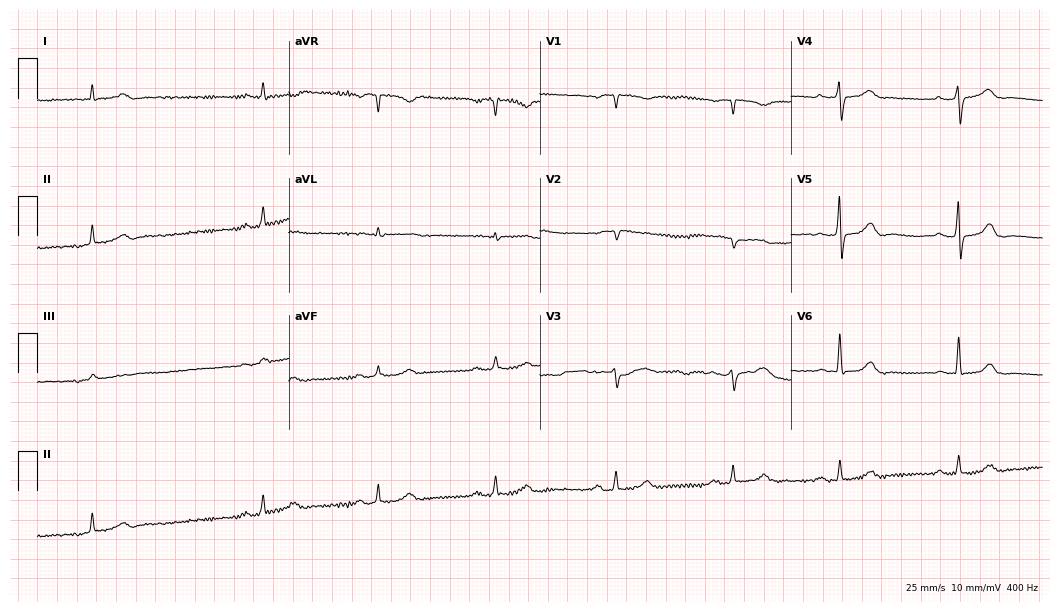
ECG — a 72-year-old female patient. Findings include sinus bradycardia (a sinus rate of 50 beats per minute or less).